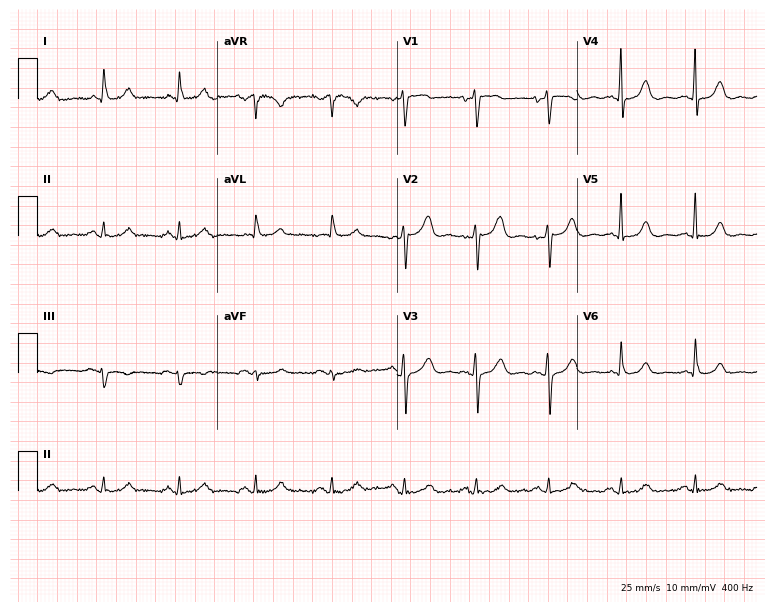
Electrocardiogram, a 75-year-old female. Overall reading on record: normal ECG.